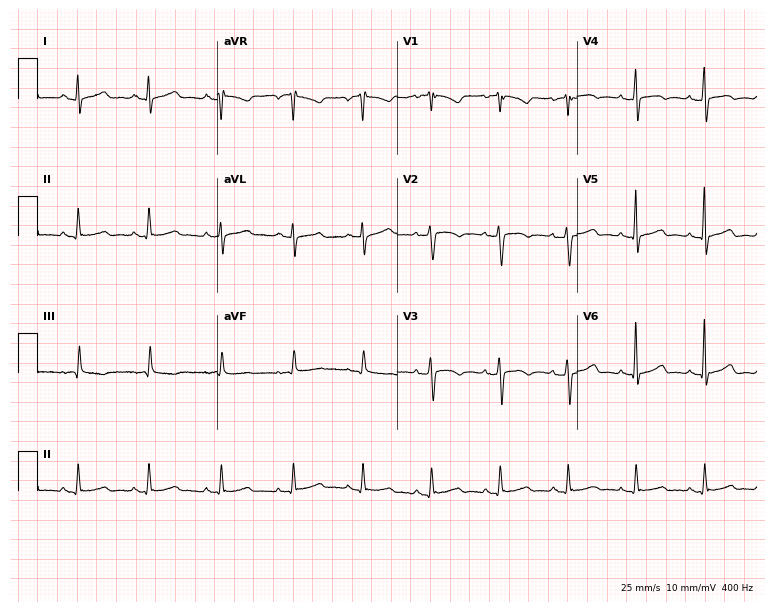
Electrocardiogram (7.3-second recording at 400 Hz), a woman, 50 years old. Of the six screened findings (first-degree AV block, right bundle branch block, left bundle branch block, sinus bradycardia, atrial fibrillation, sinus tachycardia), none is recorded.